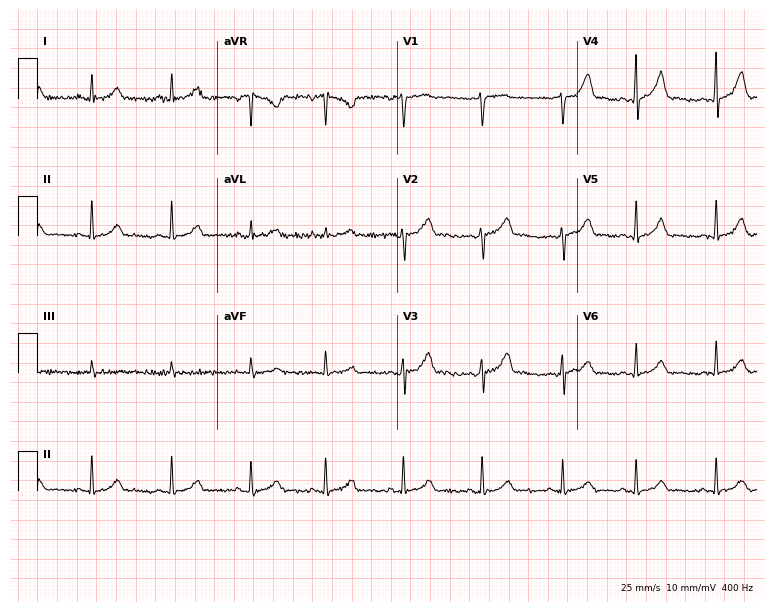
Standard 12-lead ECG recorded from a female, 33 years old (7.3-second recording at 400 Hz). None of these six findings is recorded: first-degree AV block, right bundle branch block, left bundle branch block, sinus bradycardia, atrial fibrillation, sinus tachycardia.